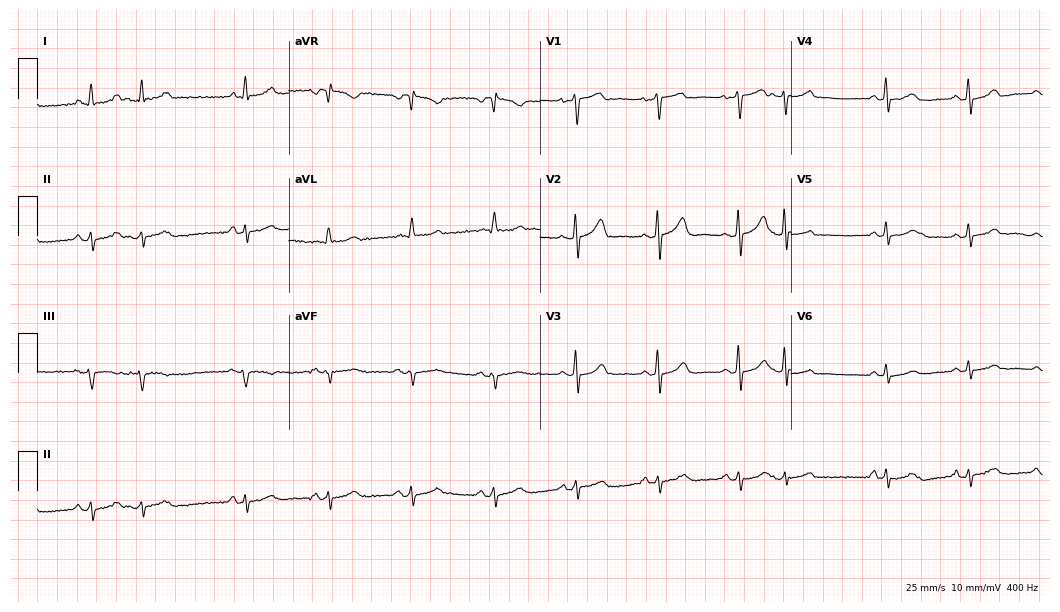
ECG (10.2-second recording at 400 Hz) — a 49-year-old woman. Screened for six findings — first-degree AV block, right bundle branch block, left bundle branch block, sinus bradycardia, atrial fibrillation, sinus tachycardia — none is recorded.